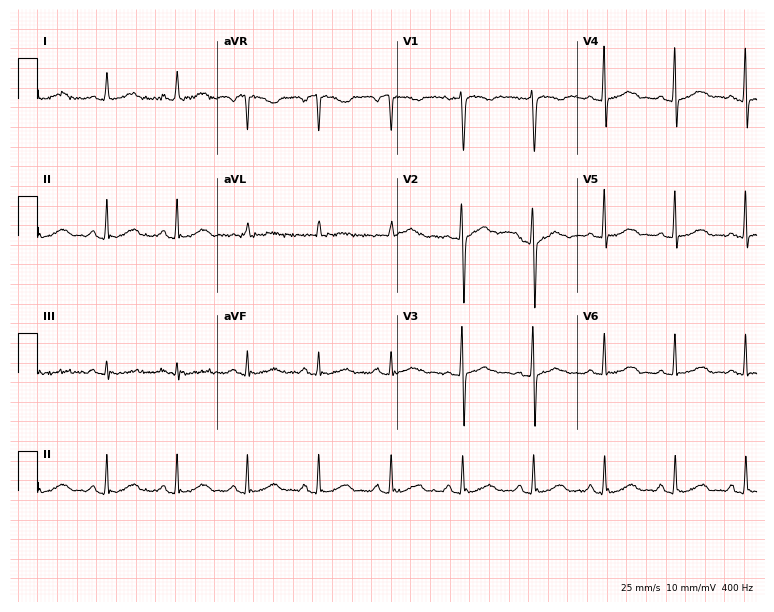
12-lead ECG from a 45-year-old female. Labelled as a normal ECG.